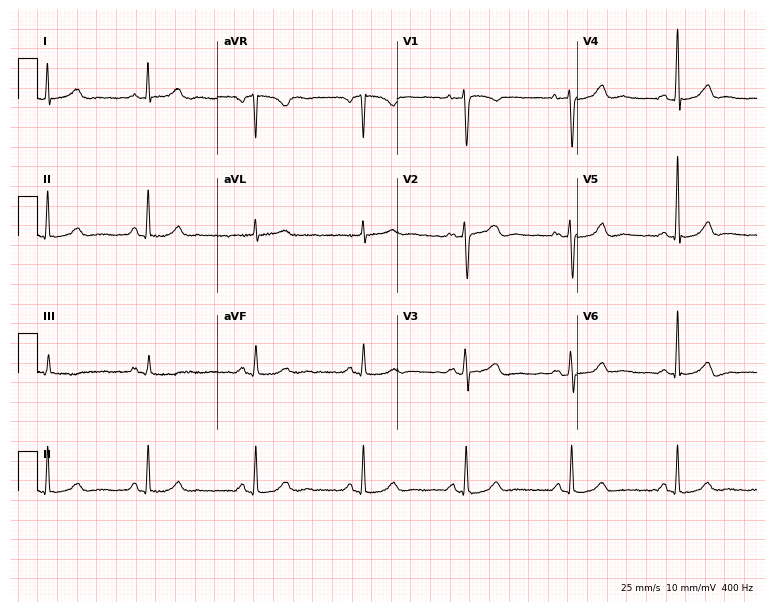
Electrocardiogram (7.3-second recording at 400 Hz), a 45-year-old woman. Overall reading on record: normal ECG.